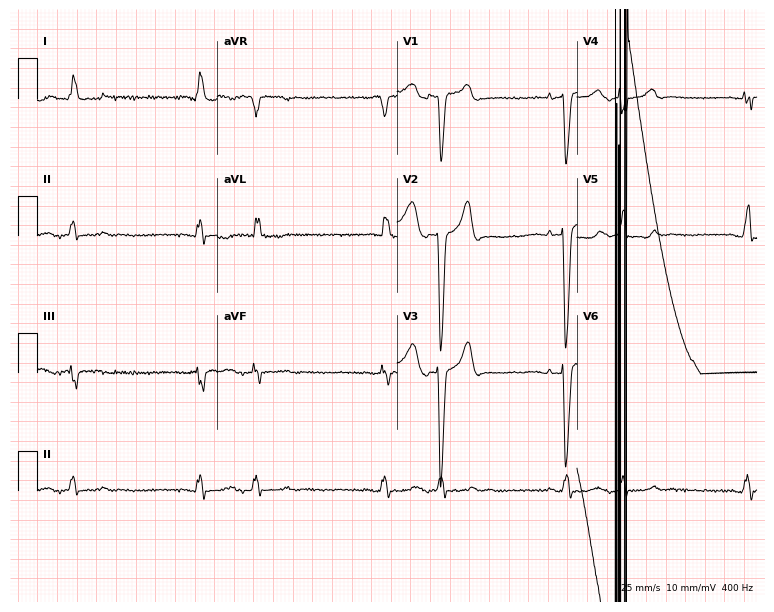
12-lead ECG (7.3-second recording at 400 Hz) from an 84-year-old woman. Screened for six findings — first-degree AV block, right bundle branch block, left bundle branch block, sinus bradycardia, atrial fibrillation, sinus tachycardia — none is recorded.